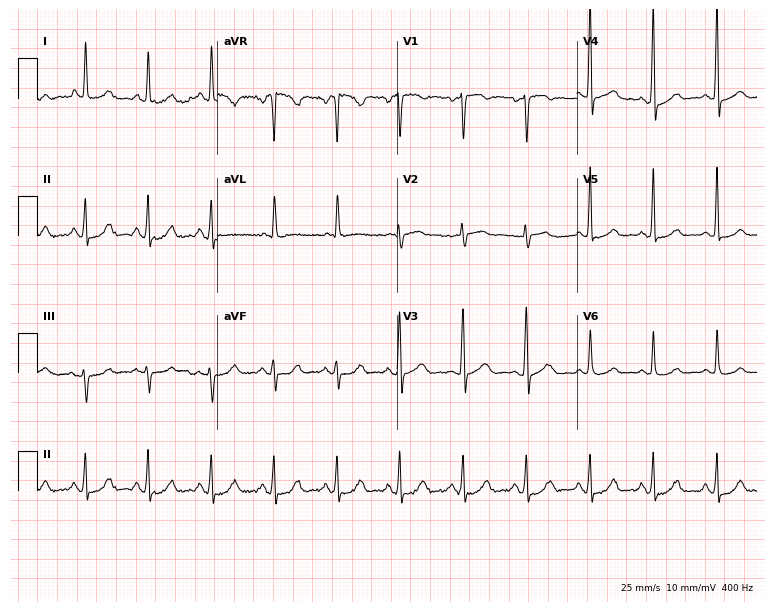
Electrocardiogram, a 55-year-old female. Overall reading on record: normal ECG.